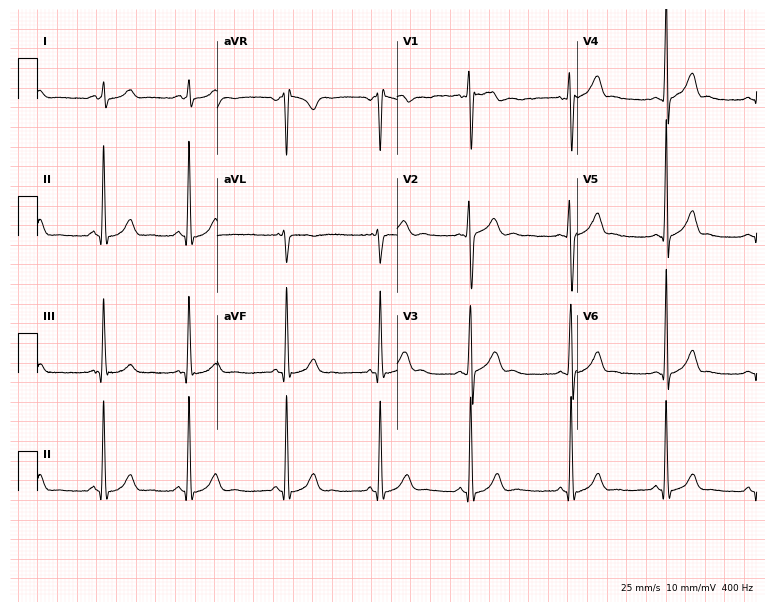
ECG (7.3-second recording at 400 Hz) — a male, 17 years old. Screened for six findings — first-degree AV block, right bundle branch block, left bundle branch block, sinus bradycardia, atrial fibrillation, sinus tachycardia — none is recorded. Findings outside these six are not listed.